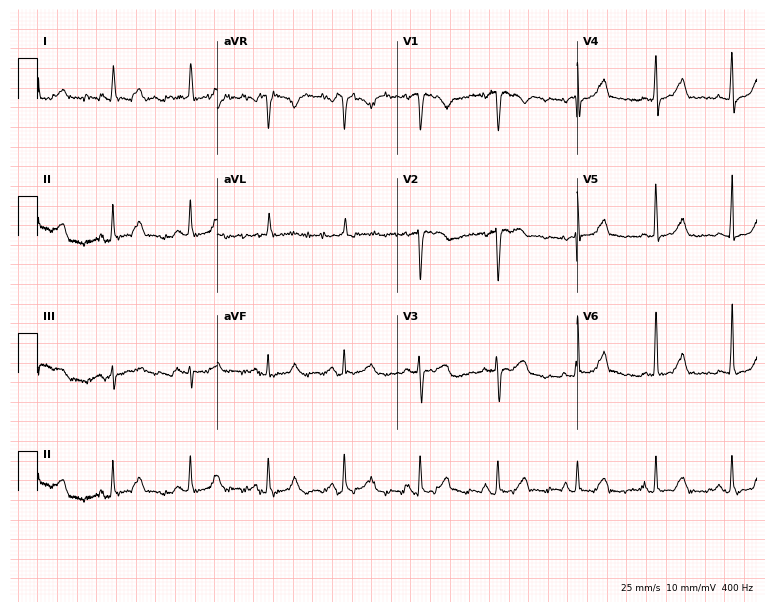
ECG — a woman, 74 years old. Screened for six findings — first-degree AV block, right bundle branch block (RBBB), left bundle branch block (LBBB), sinus bradycardia, atrial fibrillation (AF), sinus tachycardia — none is recorded.